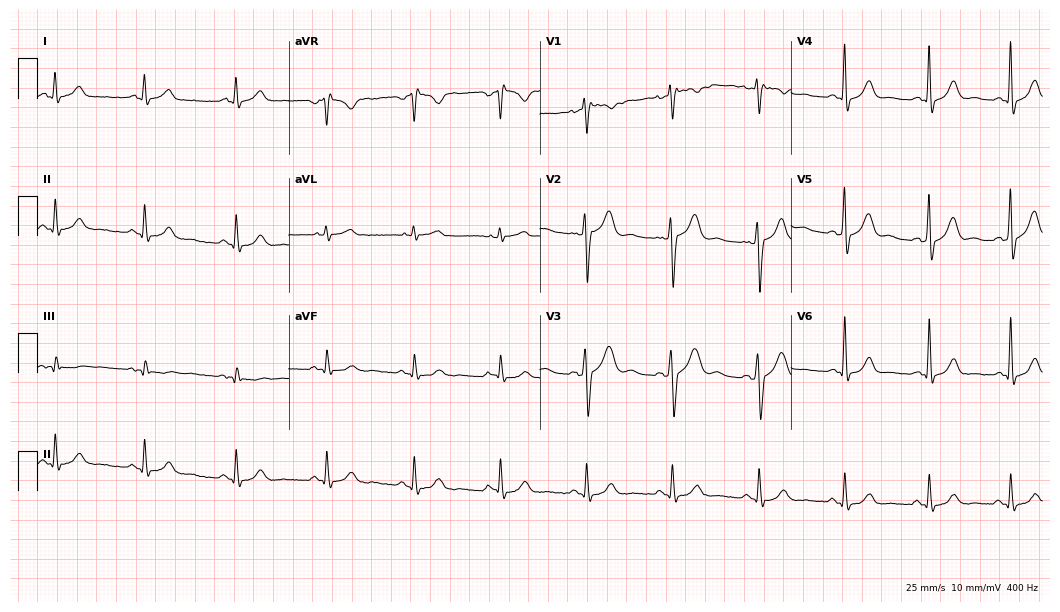
Electrocardiogram (10.2-second recording at 400 Hz), a 44-year-old man. Overall reading on record: normal ECG.